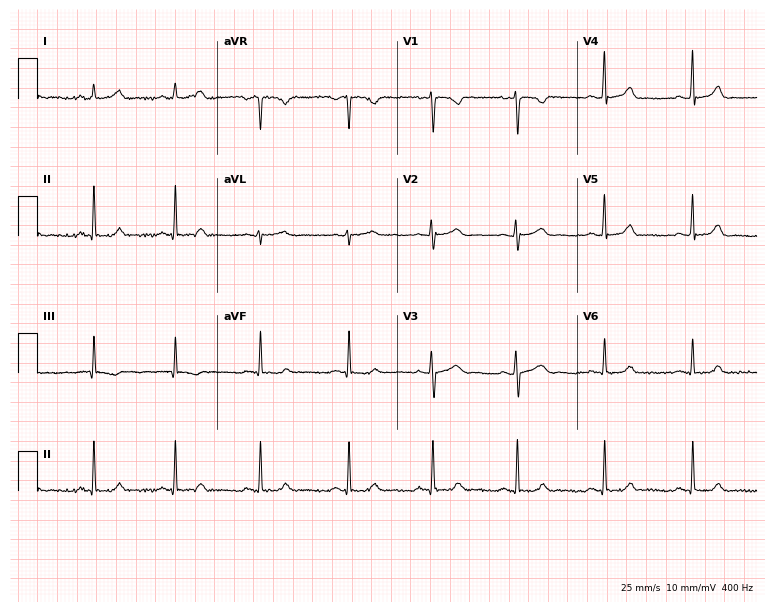
Standard 12-lead ECG recorded from a female patient, 21 years old. Read as a normal ECG.